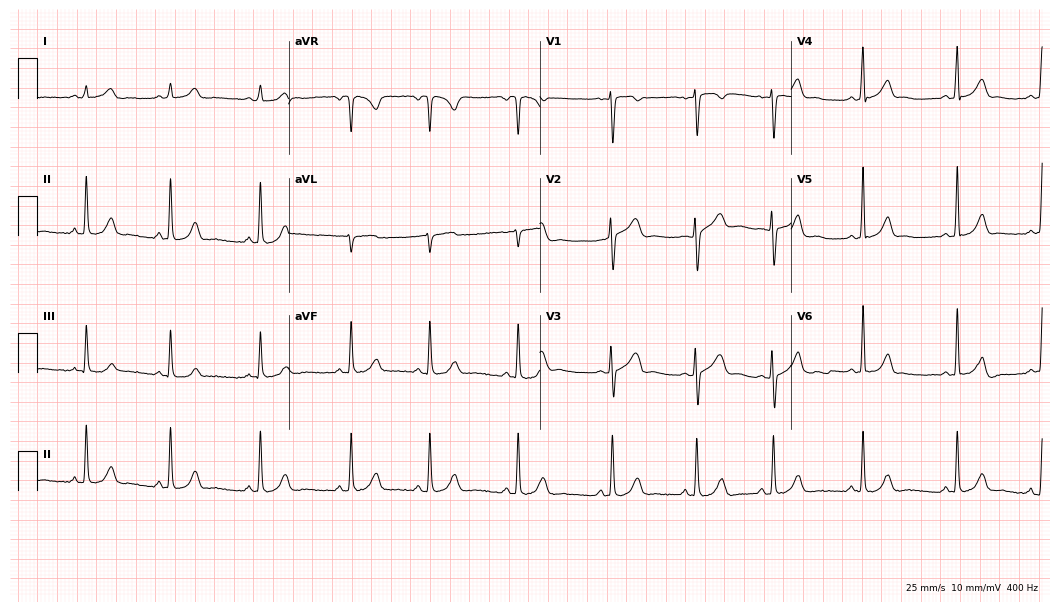
12-lead ECG from a female patient, 26 years old. Labelled as a normal ECG.